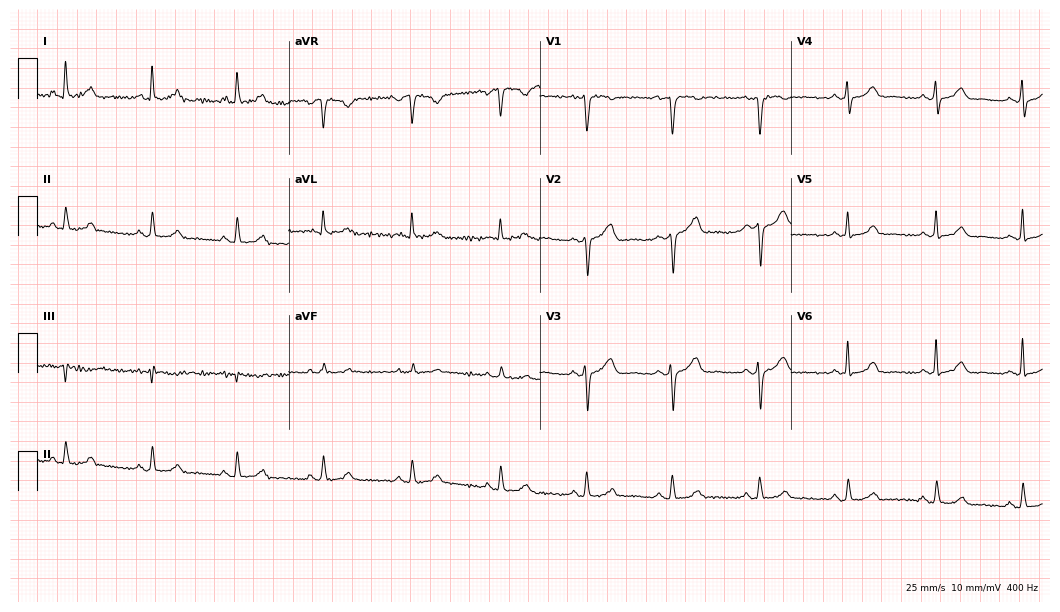
ECG — a woman, 39 years old. Labelled as a normal ECG.